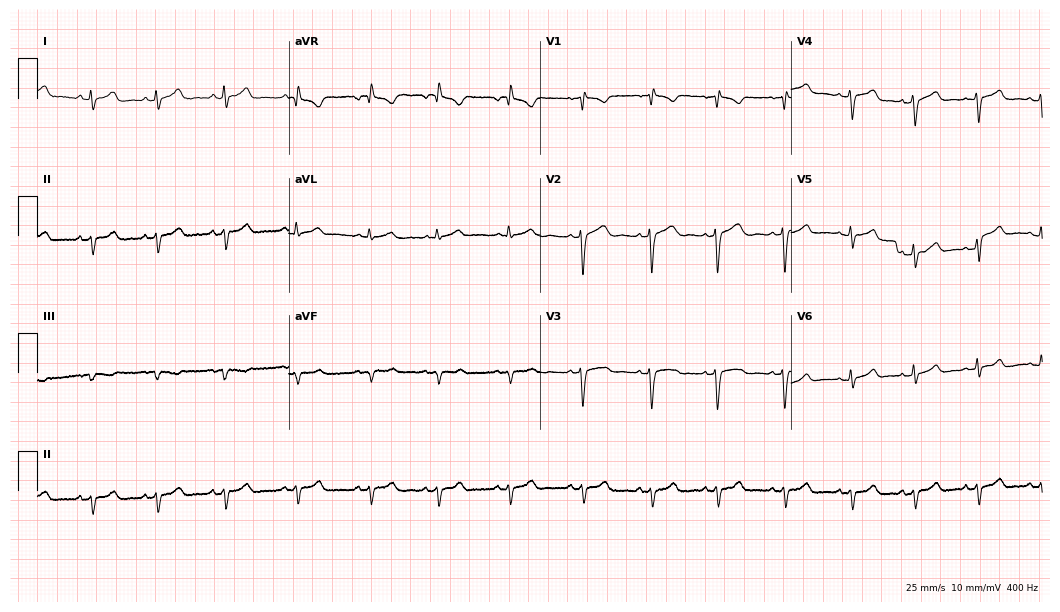
ECG — a female patient, 20 years old. Labelled as a normal ECG.